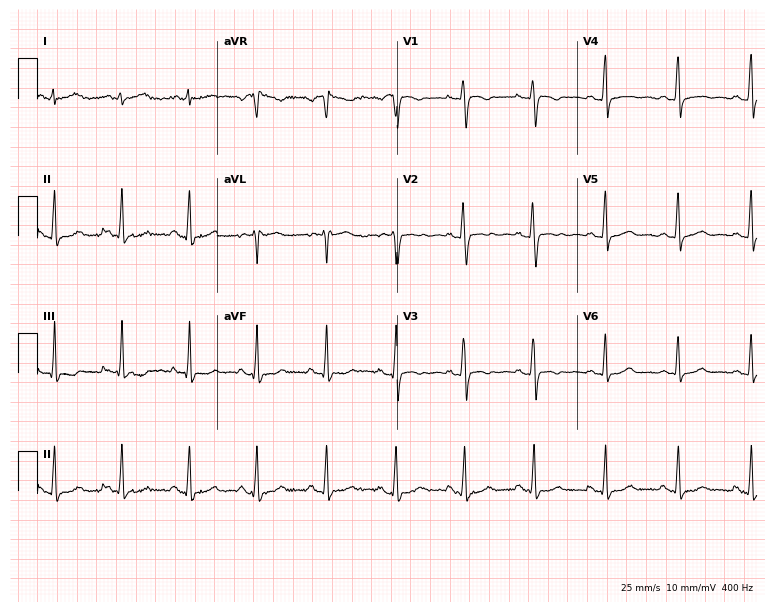
Electrocardiogram (7.3-second recording at 400 Hz), a 19-year-old woman. Overall reading on record: normal ECG.